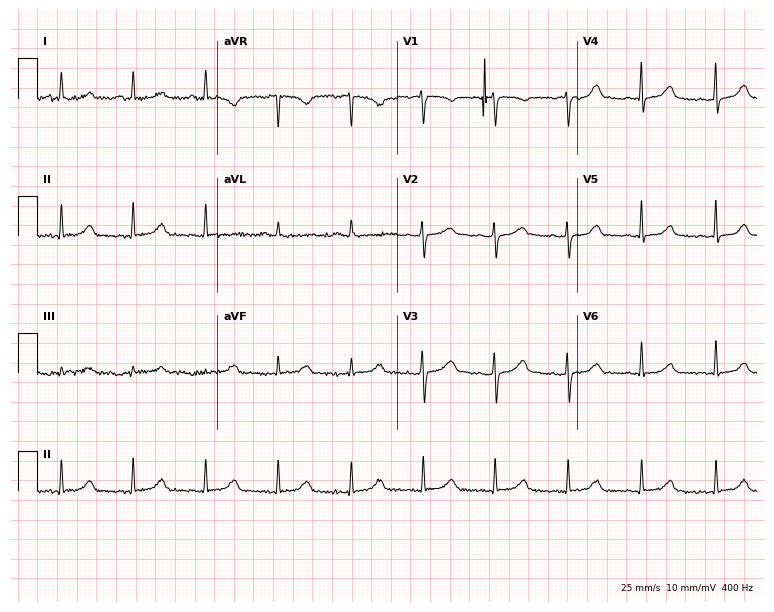
Resting 12-lead electrocardiogram. Patient: a 64-year-old female. Read as a normal ECG.